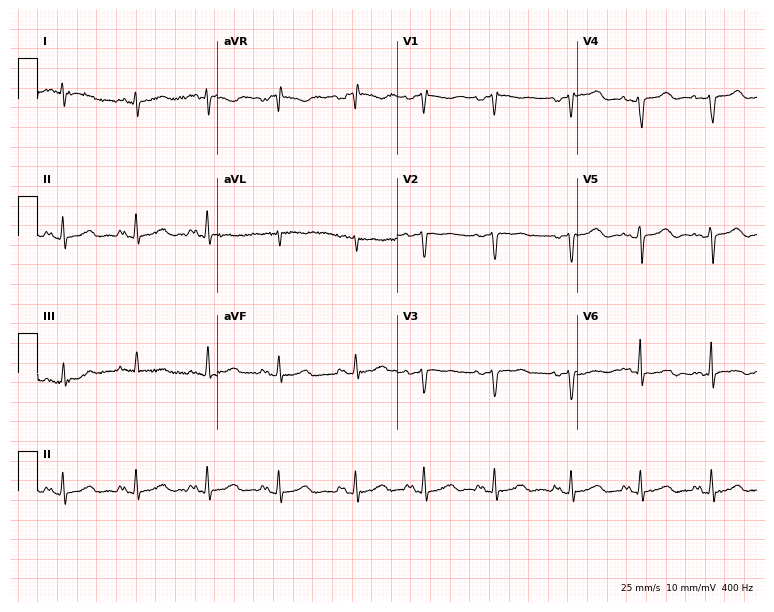
Resting 12-lead electrocardiogram. Patient: a female, 40 years old. None of these six findings is recorded: first-degree AV block, right bundle branch block (RBBB), left bundle branch block (LBBB), sinus bradycardia, atrial fibrillation (AF), sinus tachycardia. Other findings, if any, are not listed.